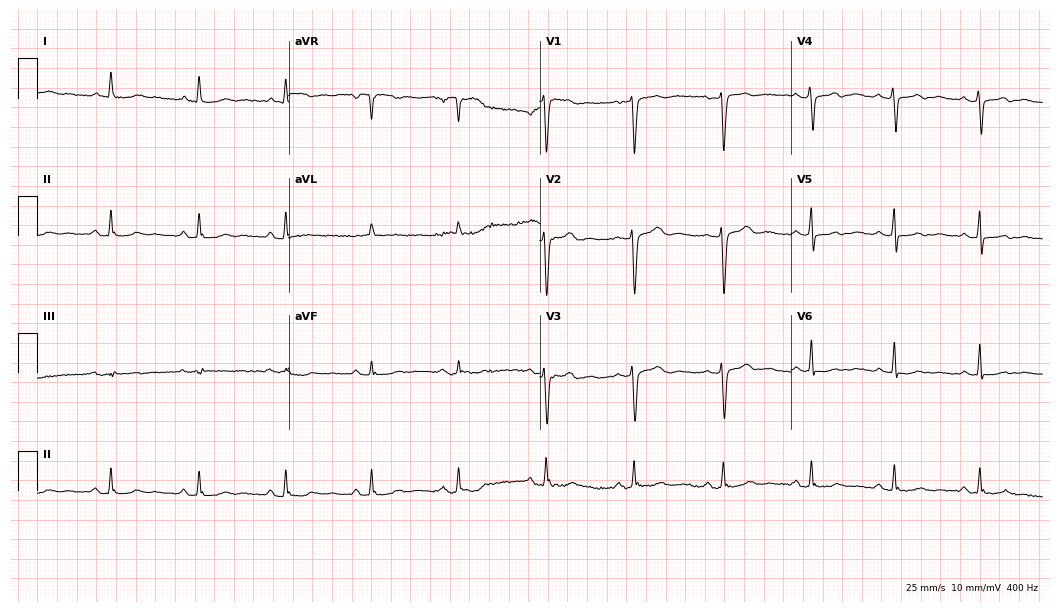
Electrocardiogram (10.2-second recording at 400 Hz), a 60-year-old female. Of the six screened findings (first-degree AV block, right bundle branch block (RBBB), left bundle branch block (LBBB), sinus bradycardia, atrial fibrillation (AF), sinus tachycardia), none is recorded. Findings outside these six are not listed.